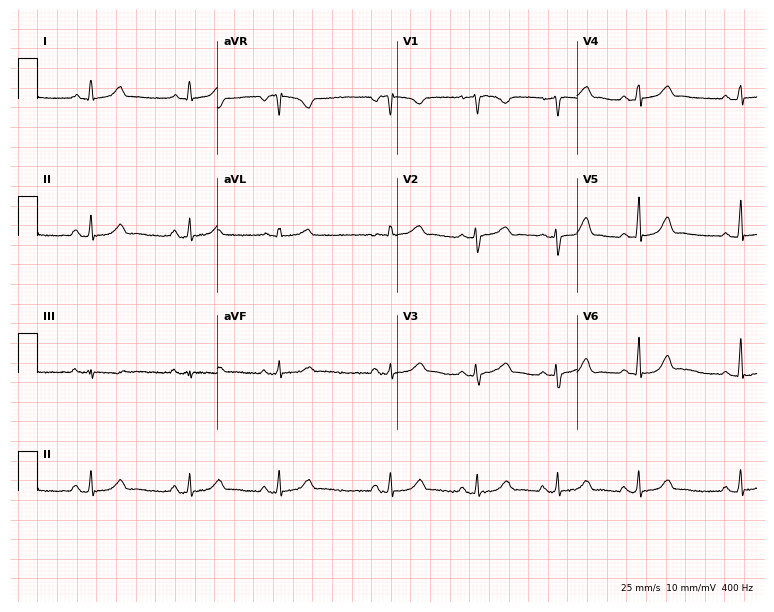
ECG (7.3-second recording at 400 Hz) — a female, 26 years old. Screened for six findings — first-degree AV block, right bundle branch block (RBBB), left bundle branch block (LBBB), sinus bradycardia, atrial fibrillation (AF), sinus tachycardia — none is recorded. Other findings, if any, are not listed.